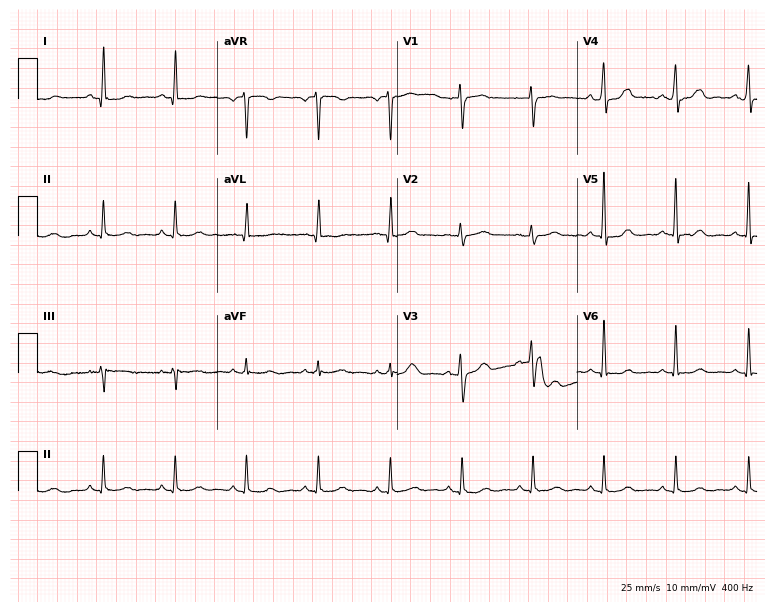
Electrocardiogram (7.3-second recording at 400 Hz), a 51-year-old female. Overall reading on record: normal ECG.